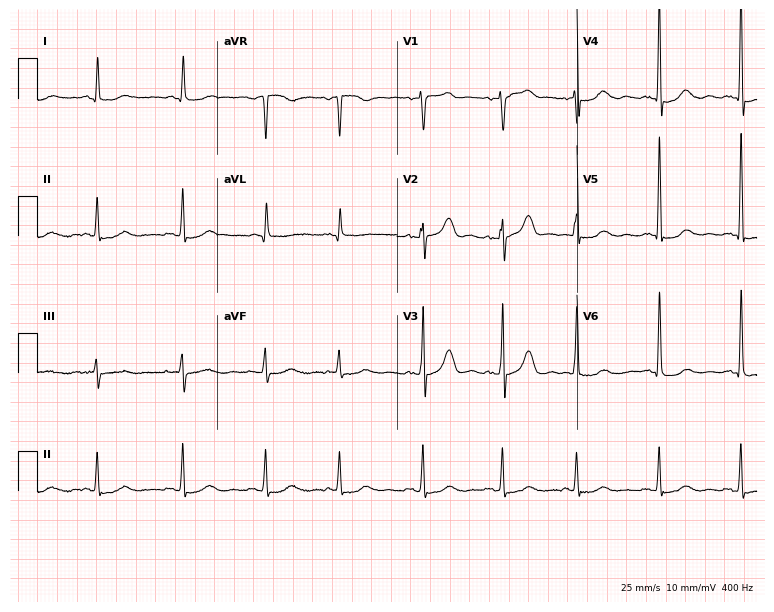
Standard 12-lead ECG recorded from a woman, 76 years old (7.3-second recording at 400 Hz). None of these six findings is recorded: first-degree AV block, right bundle branch block, left bundle branch block, sinus bradycardia, atrial fibrillation, sinus tachycardia. Only these six findings were labelled.